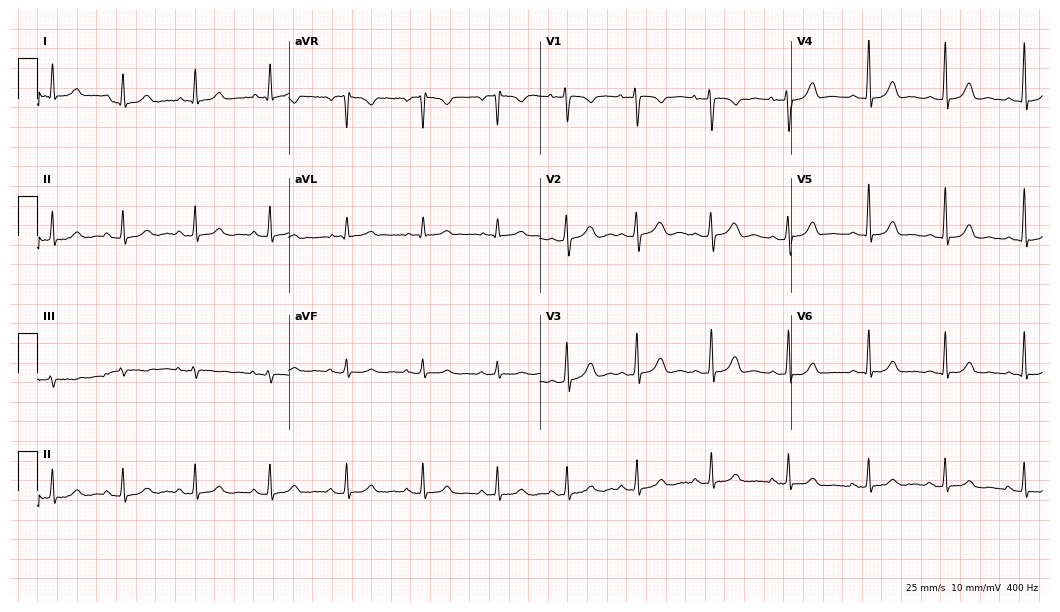
Resting 12-lead electrocardiogram (10.2-second recording at 400 Hz). Patient: a 29-year-old woman. Read as a normal ECG.